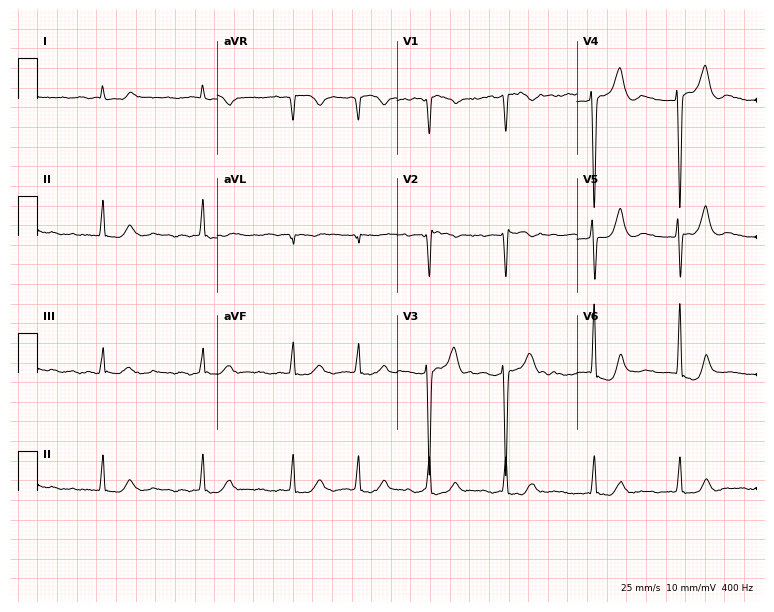
12-lead ECG from a female, 54 years old. Findings include atrial fibrillation (AF).